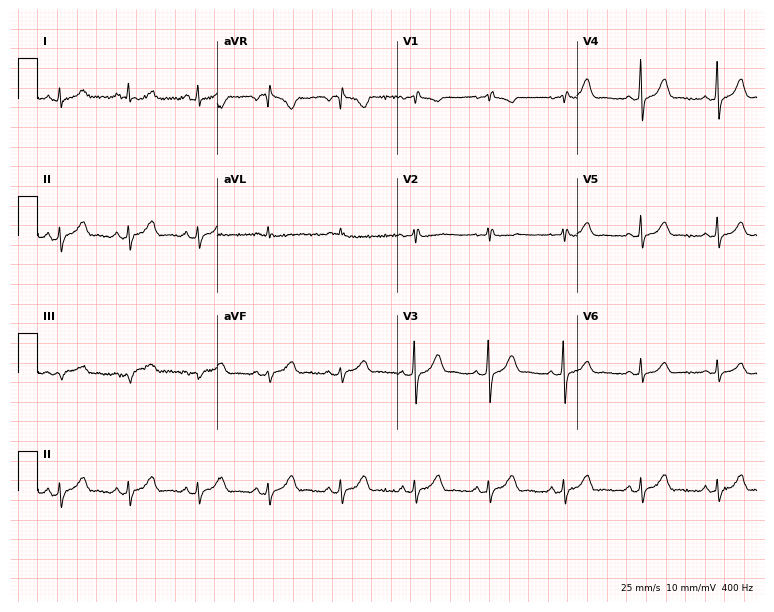
12-lead ECG from a 49-year-old woman. No first-degree AV block, right bundle branch block (RBBB), left bundle branch block (LBBB), sinus bradycardia, atrial fibrillation (AF) or sinus tachycardia recorded for this tracing.